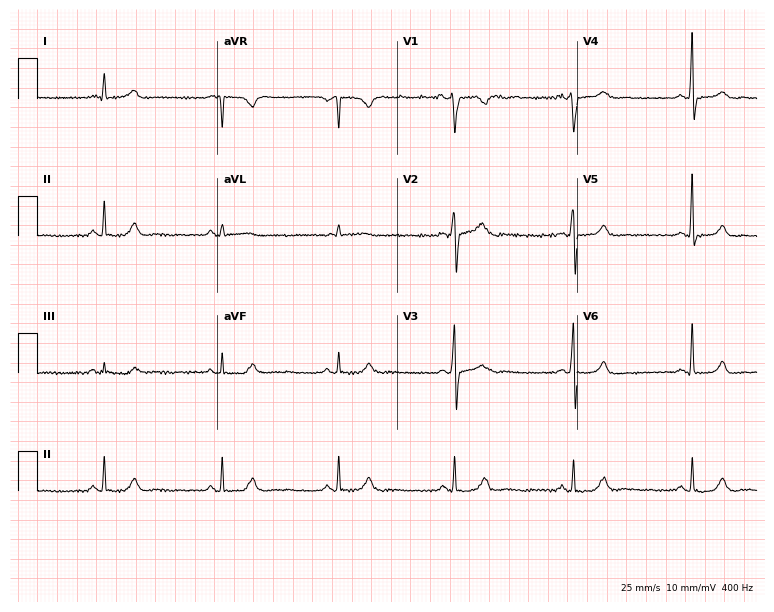
ECG — a 54-year-old male. Screened for six findings — first-degree AV block, right bundle branch block, left bundle branch block, sinus bradycardia, atrial fibrillation, sinus tachycardia — none is recorded.